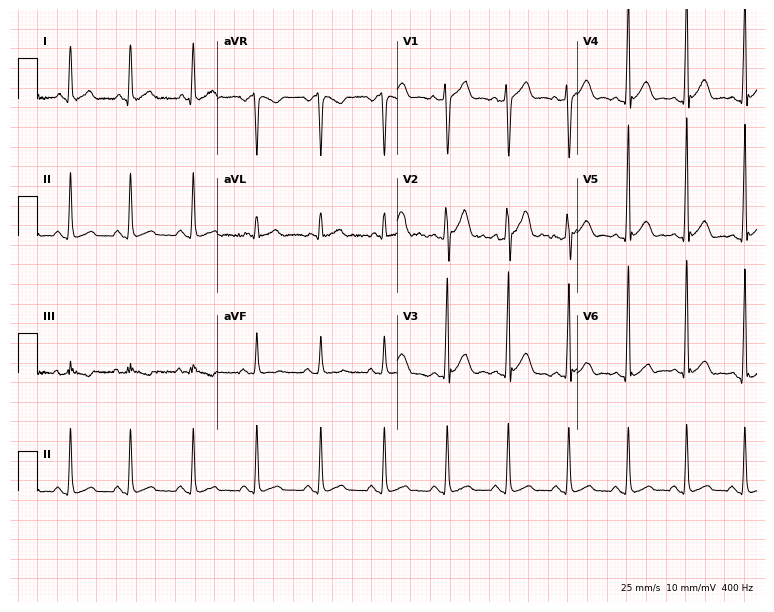
12-lead ECG from a male patient, 23 years old. Labelled as a normal ECG.